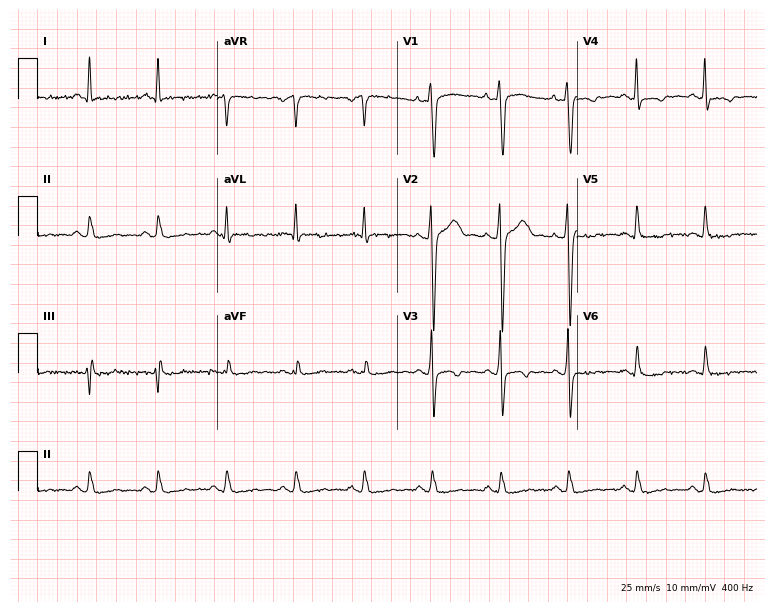
12-lead ECG (7.3-second recording at 400 Hz) from a 38-year-old male patient. Screened for six findings — first-degree AV block, right bundle branch block, left bundle branch block, sinus bradycardia, atrial fibrillation, sinus tachycardia — none is recorded. Other findings, if any, are not listed.